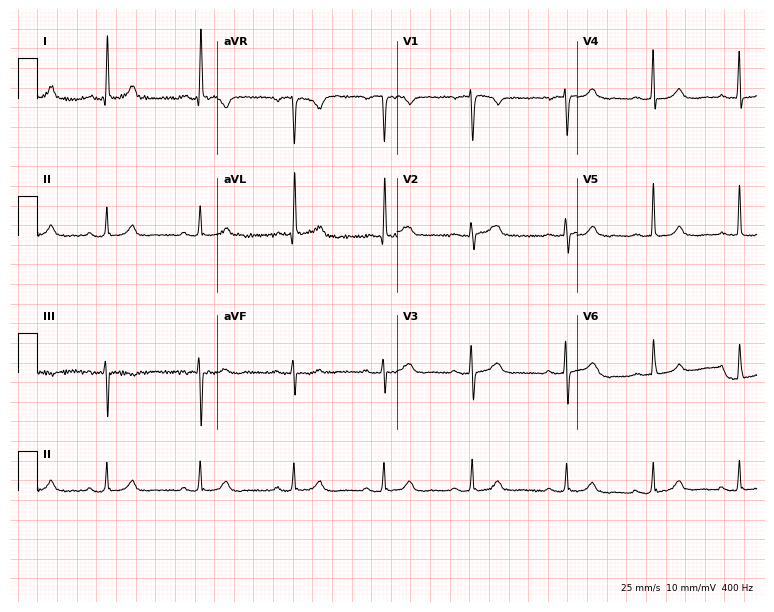
ECG (7.3-second recording at 400 Hz) — a 77-year-old female. Labelled as a normal ECG.